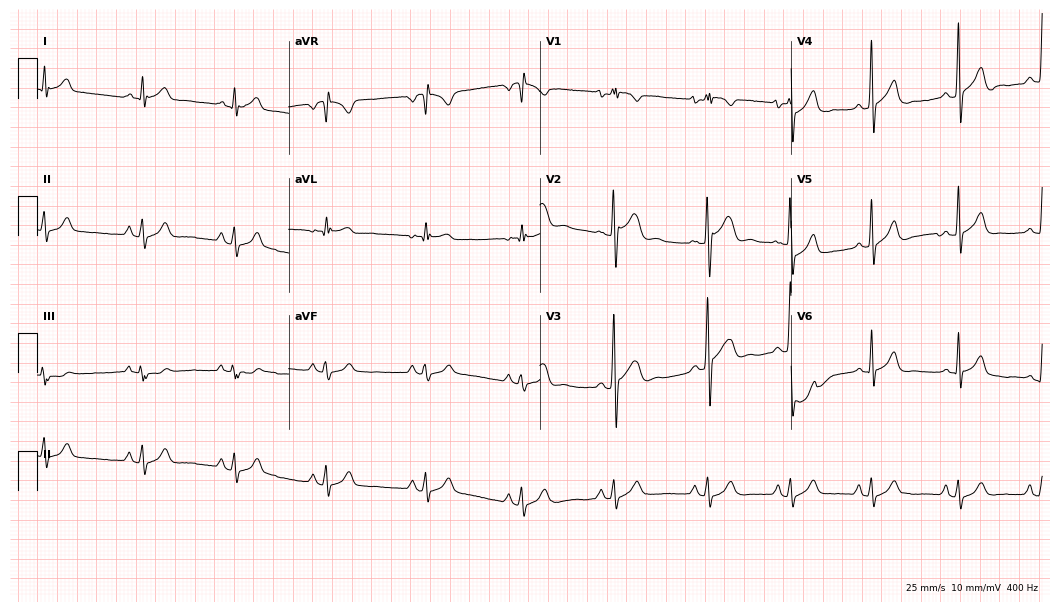
Resting 12-lead electrocardiogram. Patient: a male, 17 years old. Read as a normal ECG.